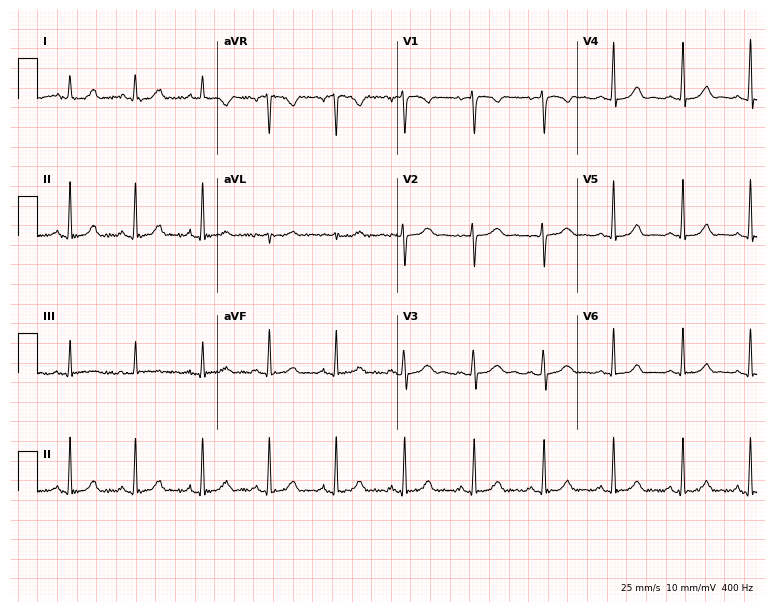
Electrocardiogram, a female patient, 30 years old. Overall reading on record: normal ECG.